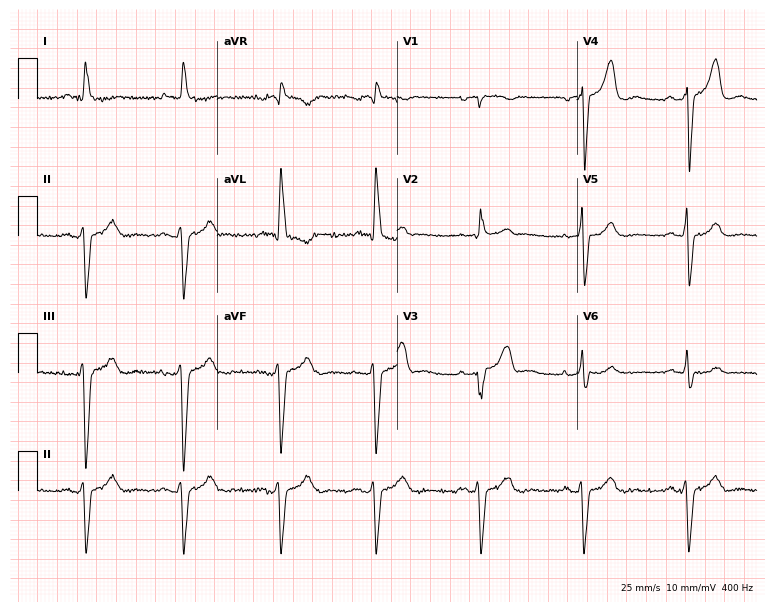
Standard 12-lead ECG recorded from a 65-year-old male patient. None of these six findings is recorded: first-degree AV block, right bundle branch block, left bundle branch block, sinus bradycardia, atrial fibrillation, sinus tachycardia. Only these six findings were labelled.